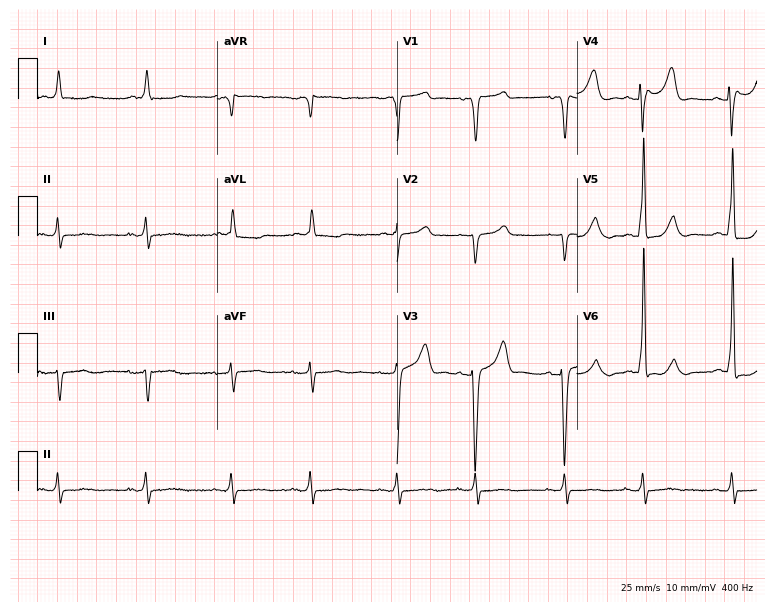
12-lead ECG (7.3-second recording at 400 Hz) from an 81-year-old male. Screened for six findings — first-degree AV block, right bundle branch block, left bundle branch block, sinus bradycardia, atrial fibrillation, sinus tachycardia — none is recorded. Findings outside these six are not listed.